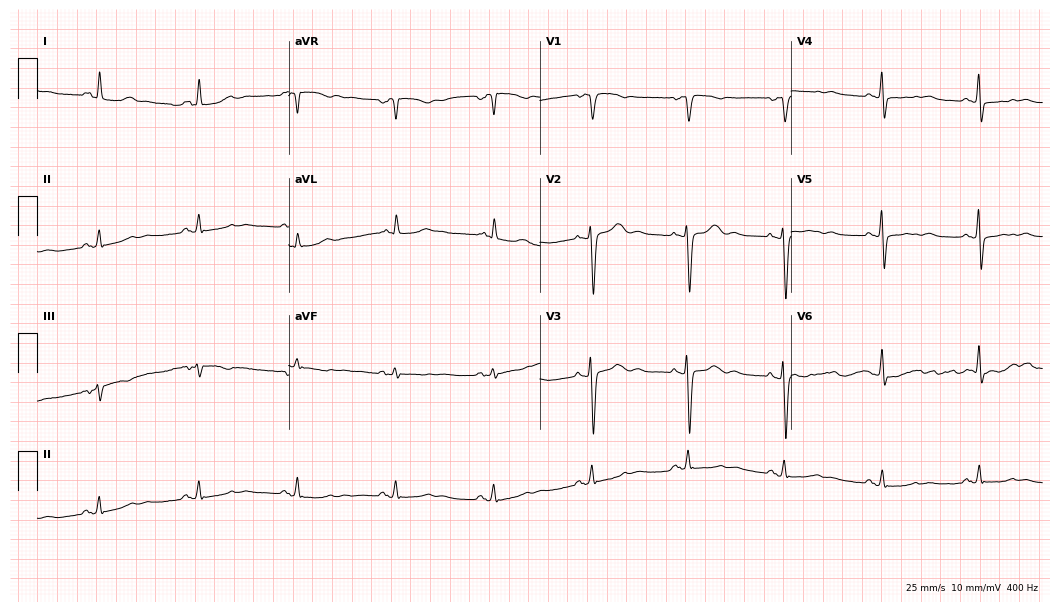
12-lead ECG from a 52-year-old woman (10.2-second recording at 400 Hz). Recorded interpretation: within normal limits.